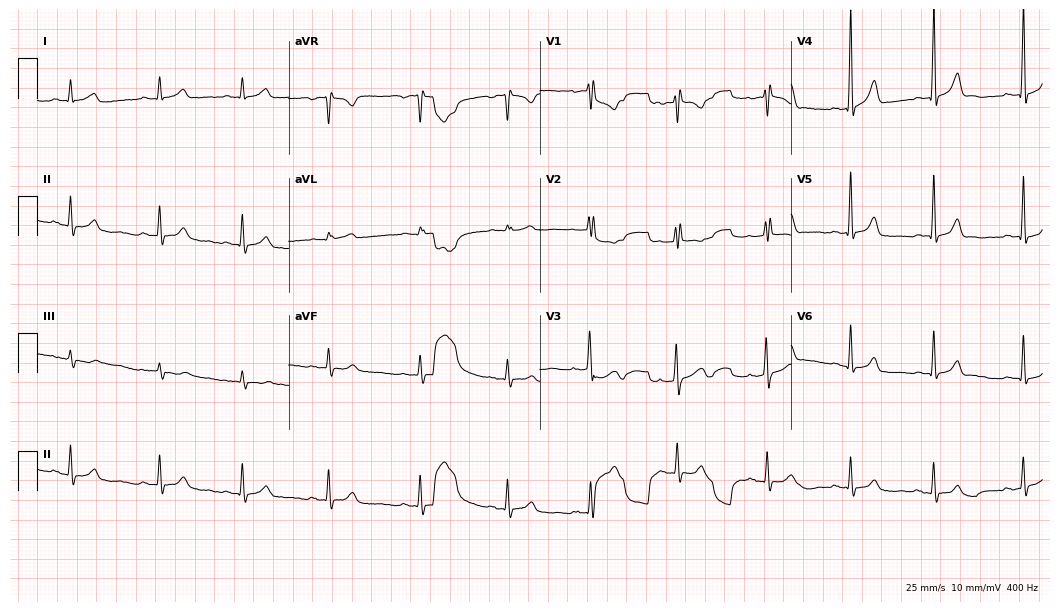
12-lead ECG (10.2-second recording at 400 Hz) from a 28-year-old female. Screened for six findings — first-degree AV block, right bundle branch block, left bundle branch block, sinus bradycardia, atrial fibrillation, sinus tachycardia — none is recorded. Findings outside these six are not listed.